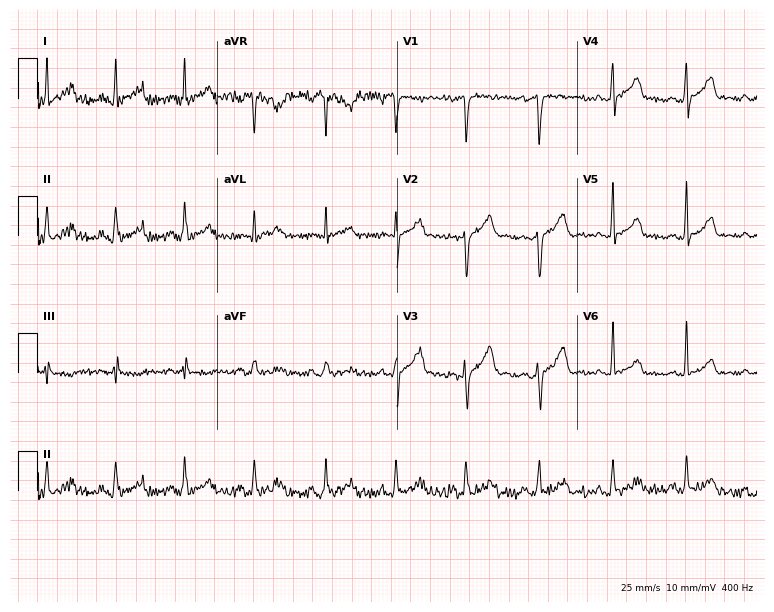
12-lead ECG from a 31-year-old man. No first-degree AV block, right bundle branch block, left bundle branch block, sinus bradycardia, atrial fibrillation or sinus tachycardia recorded for this tracing.